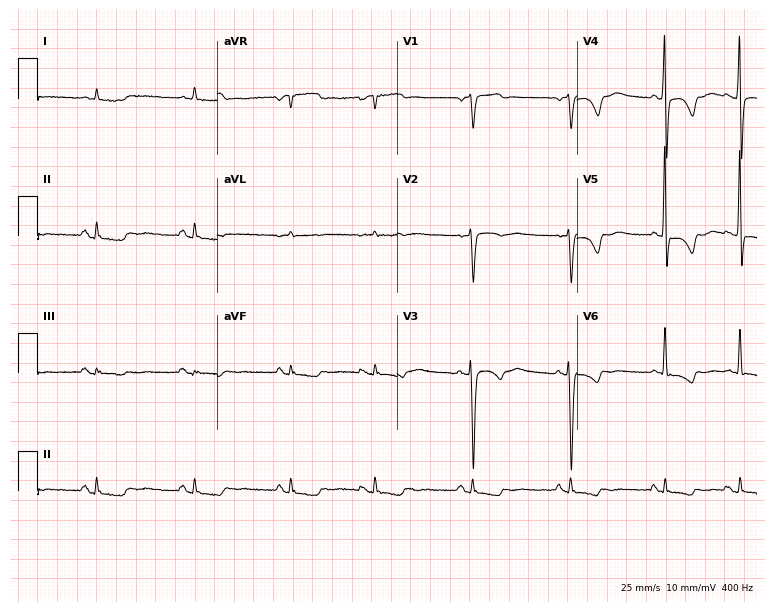
Standard 12-lead ECG recorded from a male, 78 years old (7.3-second recording at 400 Hz). None of these six findings is recorded: first-degree AV block, right bundle branch block (RBBB), left bundle branch block (LBBB), sinus bradycardia, atrial fibrillation (AF), sinus tachycardia.